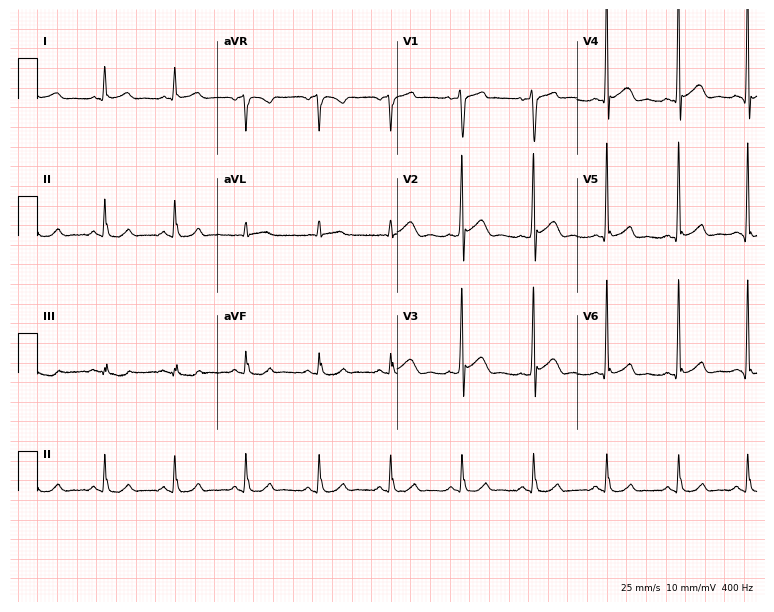
ECG (7.3-second recording at 400 Hz) — a male, 58 years old. Labelled as a normal ECG.